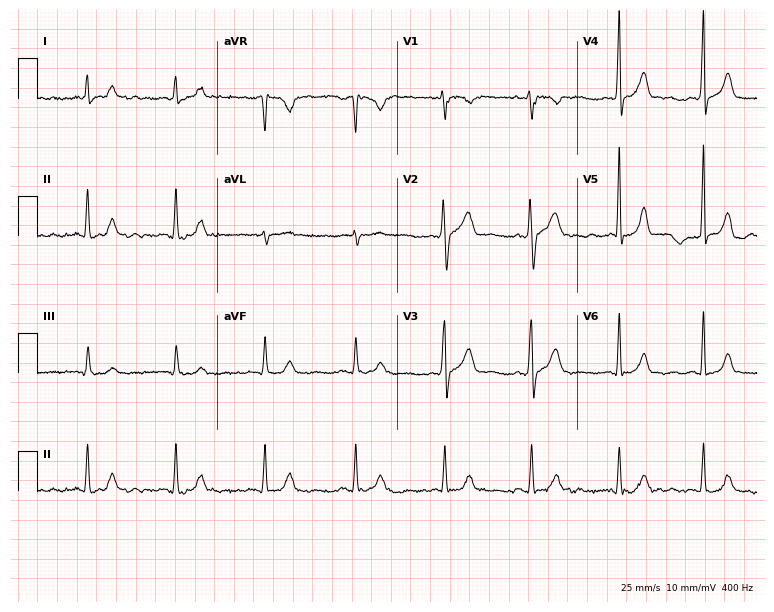
Electrocardiogram, a 55-year-old male. Overall reading on record: normal ECG.